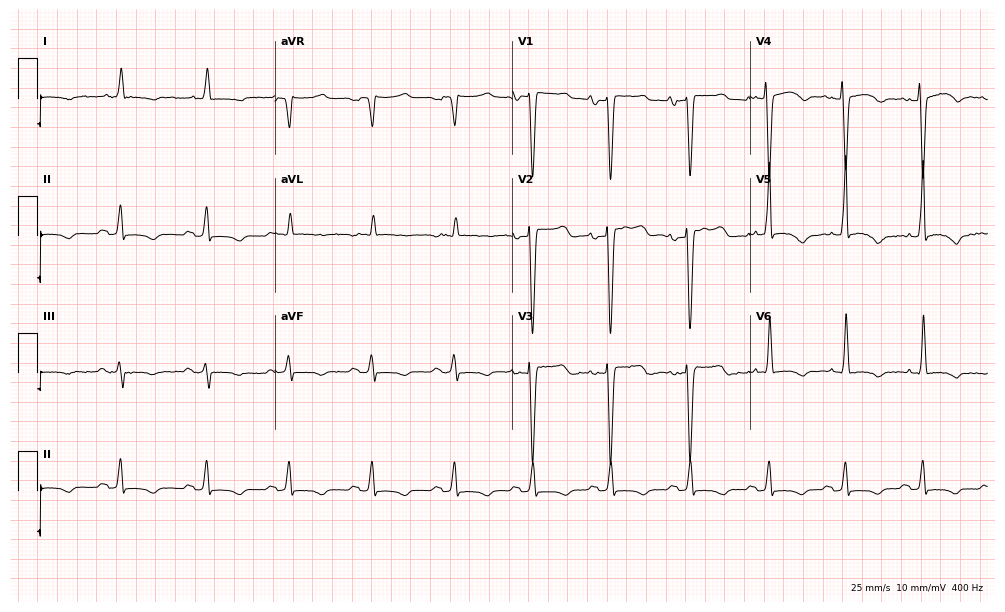
Electrocardiogram, a man, 73 years old. Of the six screened findings (first-degree AV block, right bundle branch block, left bundle branch block, sinus bradycardia, atrial fibrillation, sinus tachycardia), none is recorded. Other findings, if any, are not listed.